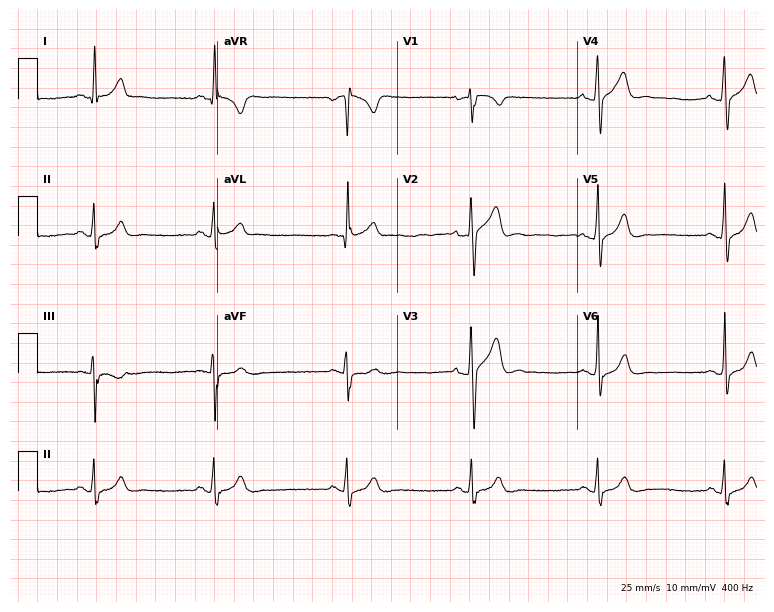
Resting 12-lead electrocardiogram (7.3-second recording at 400 Hz). Patient: a man, 36 years old. The tracing shows sinus bradycardia (a sinus rate of 50 beats per minute or less).